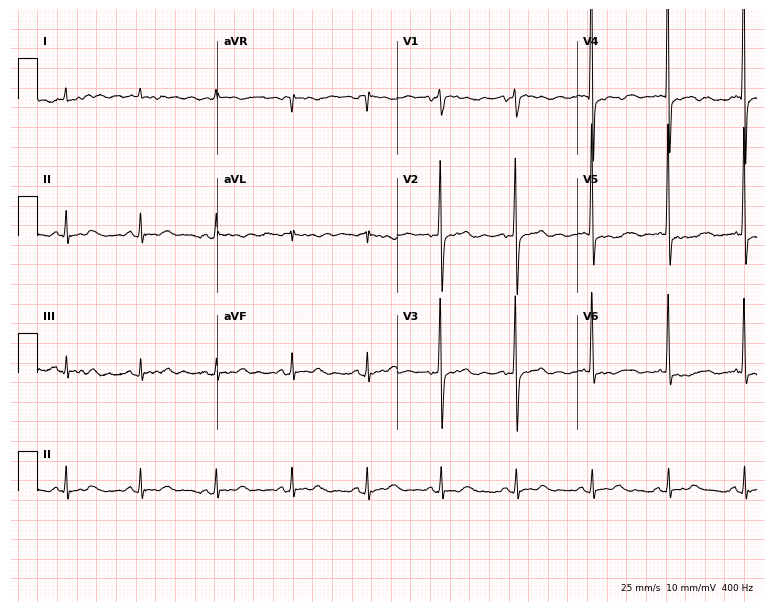
12-lead ECG (7.3-second recording at 400 Hz) from a female, 84 years old. Screened for six findings — first-degree AV block, right bundle branch block, left bundle branch block, sinus bradycardia, atrial fibrillation, sinus tachycardia — none is recorded. Only these six findings were labelled.